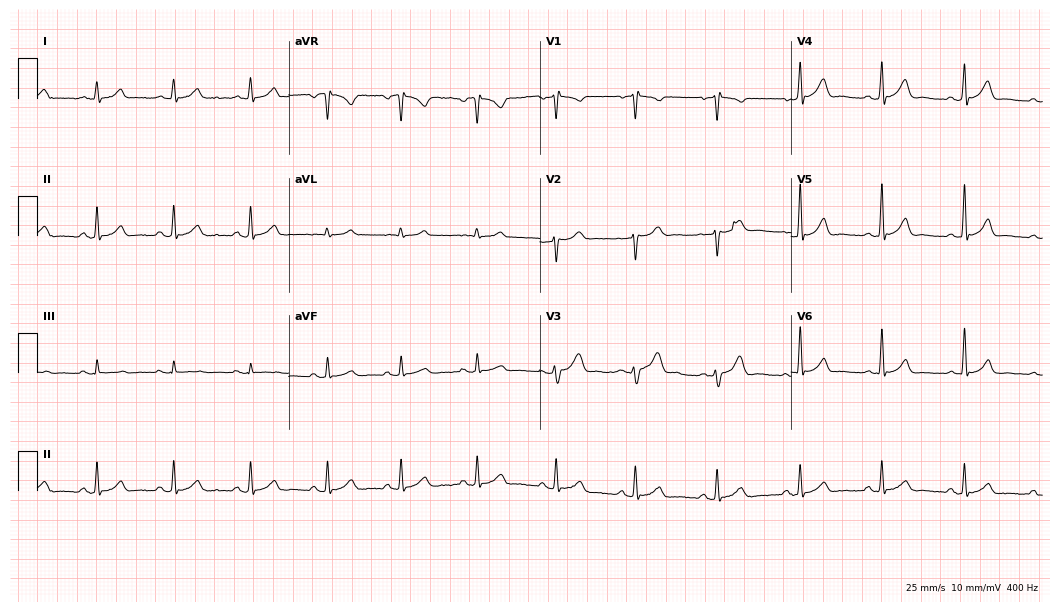
12-lead ECG (10.2-second recording at 400 Hz) from a woman, 53 years old. Labelled as a normal ECG.